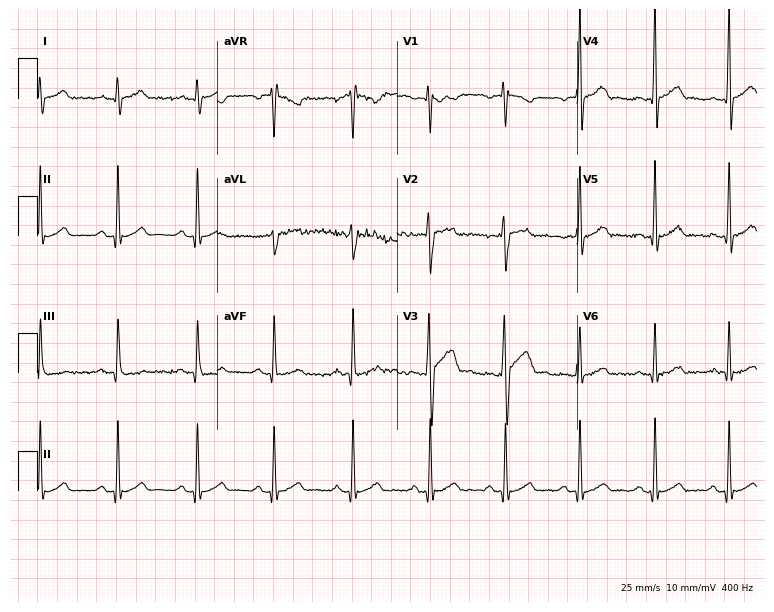
12-lead ECG from a male, 22 years old. Labelled as a normal ECG.